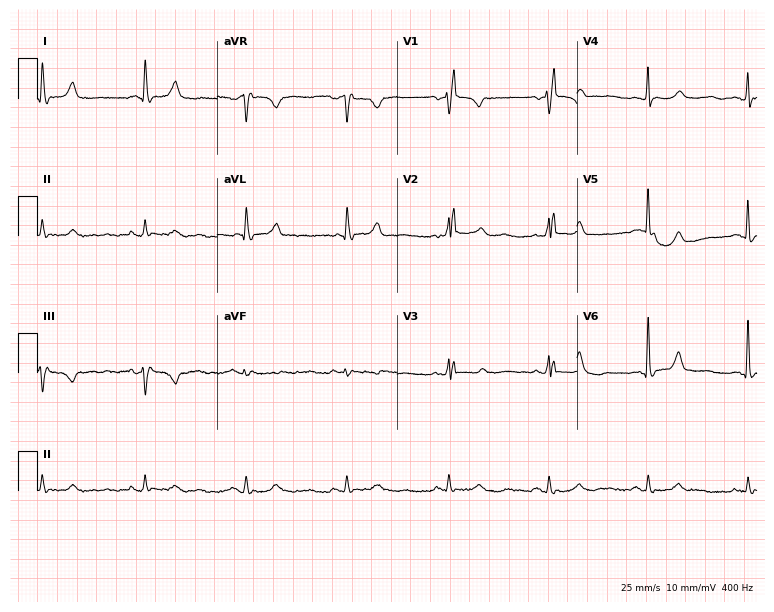
12-lead ECG from a 76-year-old female patient. Shows right bundle branch block.